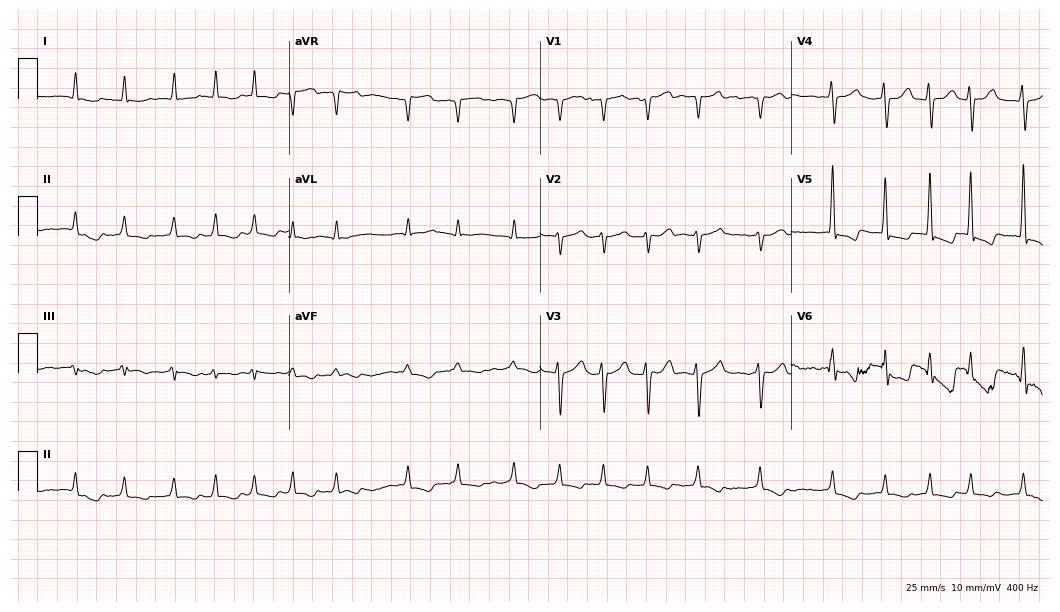
12-lead ECG from a male patient, 75 years old. Shows atrial fibrillation (AF).